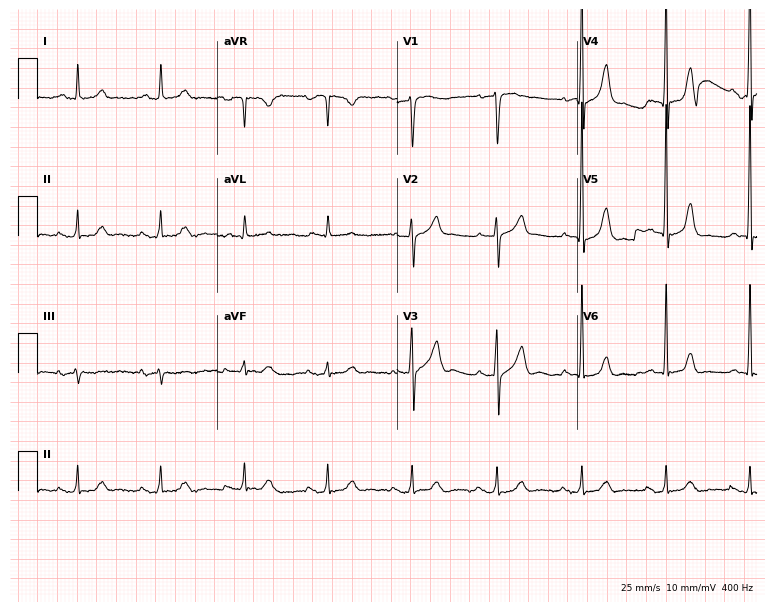
ECG — a 65-year-old male patient. Screened for six findings — first-degree AV block, right bundle branch block, left bundle branch block, sinus bradycardia, atrial fibrillation, sinus tachycardia — none is recorded. Other findings, if any, are not listed.